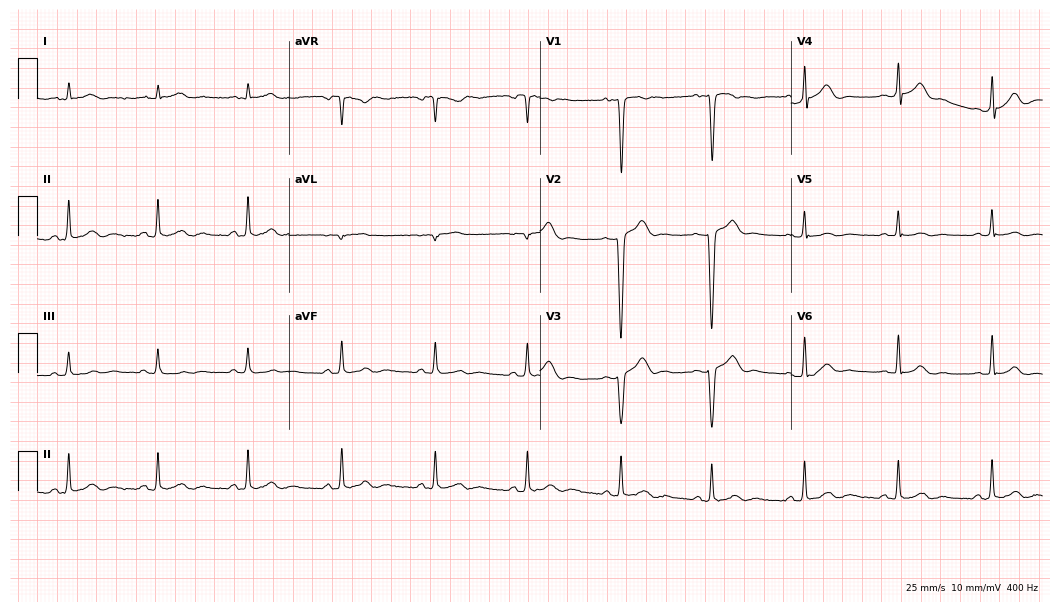
Standard 12-lead ECG recorded from a man, 21 years old (10.2-second recording at 400 Hz). None of these six findings is recorded: first-degree AV block, right bundle branch block (RBBB), left bundle branch block (LBBB), sinus bradycardia, atrial fibrillation (AF), sinus tachycardia.